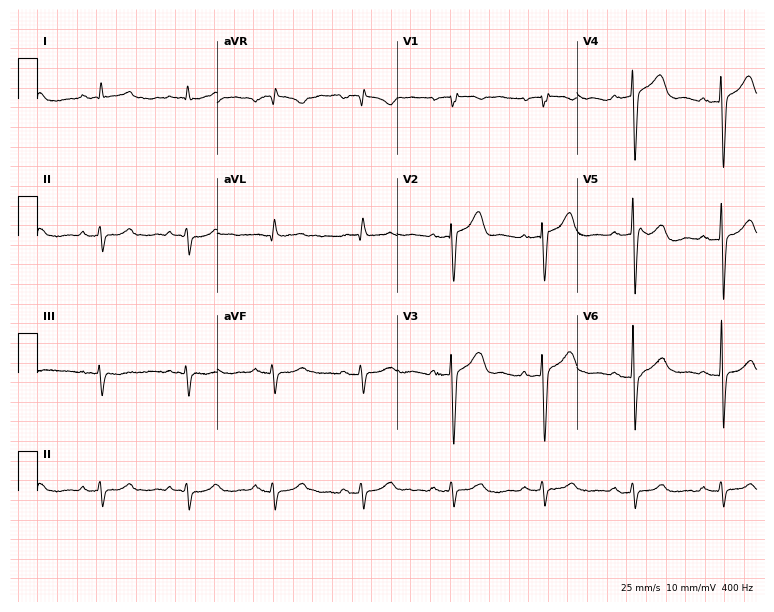
12-lead ECG from a 72-year-old man (7.3-second recording at 400 Hz). No first-degree AV block, right bundle branch block (RBBB), left bundle branch block (LBBB), sinus bradycardia, atrial fibrillation (AF) or sinus tachycardia recorded for this tracing.